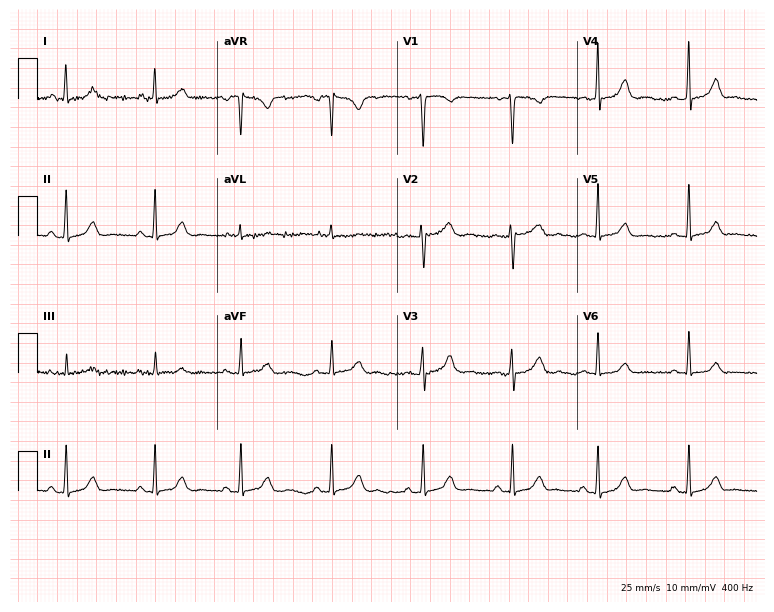
ECG (7.3-second recording at 400 Hz) — a woman, 33 years old. Screened for six findings — first-degree AV block, right bundle branch block, left bundle branch block, sinus bradycardia, atrial fibrillation, sinus tachycardia — none is recorded. Findings outside these six are not listed.